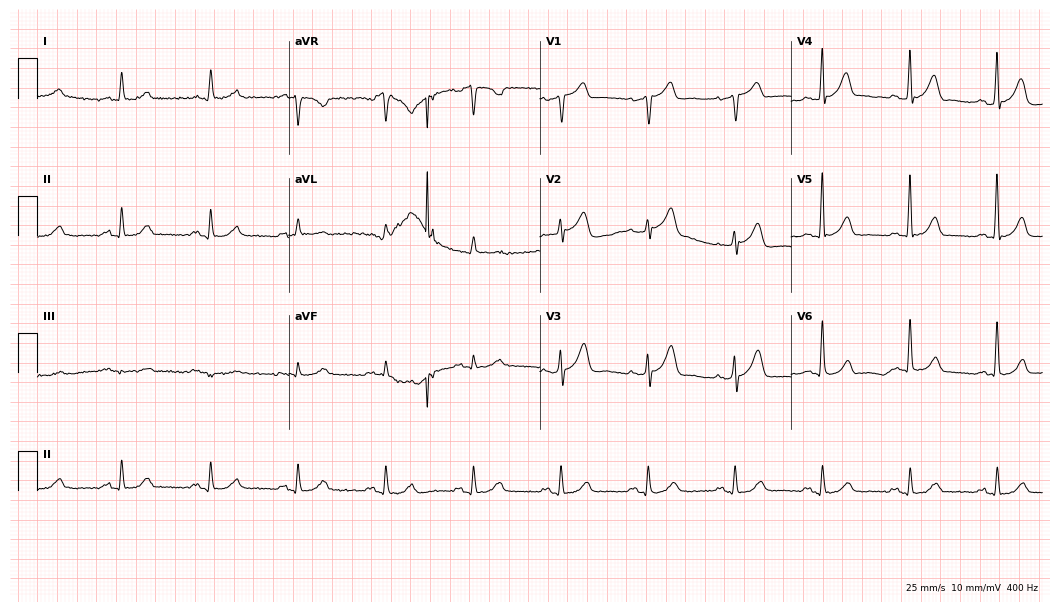
Electrocardiogram (10.2-second recording at 400 Hz), a 68-year-old female patient. Of the six screened findings (first-degree AV block, right bundle branch block (RBBB), left bundle branch block (LBBB), sinus bradycardia, atrial fibrillation (AF), sinus tachycardia), none is recorded.